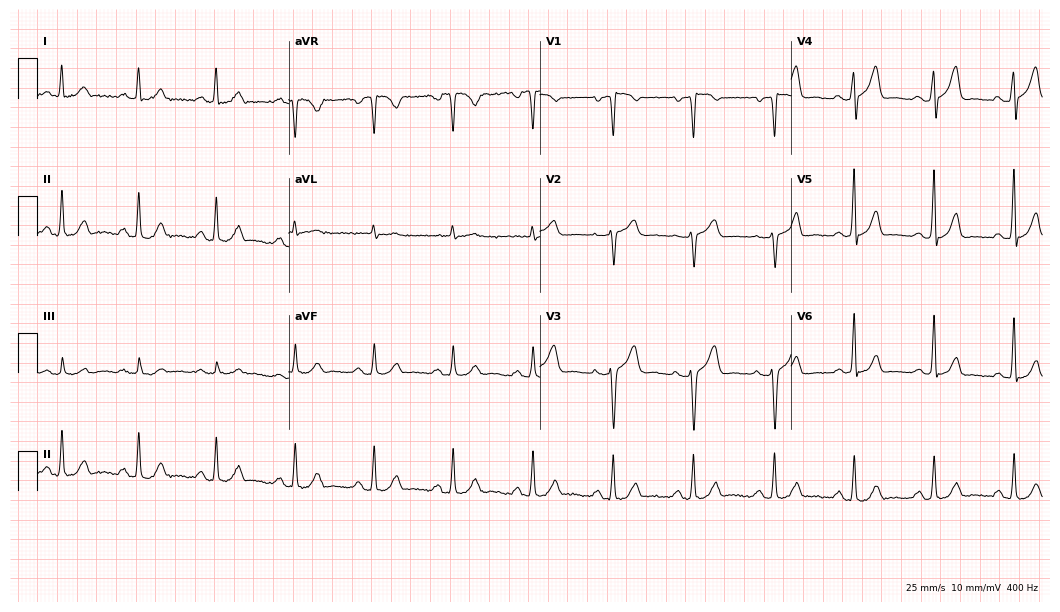
Electrocardiogram (10.2-second recording at 400 Hz), a 68-year-old man. Of the six screened findings (first-degree AV block, right bundle branch block (RBBB), left bundle branch block (LBBB), sinus bradycardia, atrial fibrillation (AF), sinus tachycardia), none is recorded. Findings outside these six are not listed.